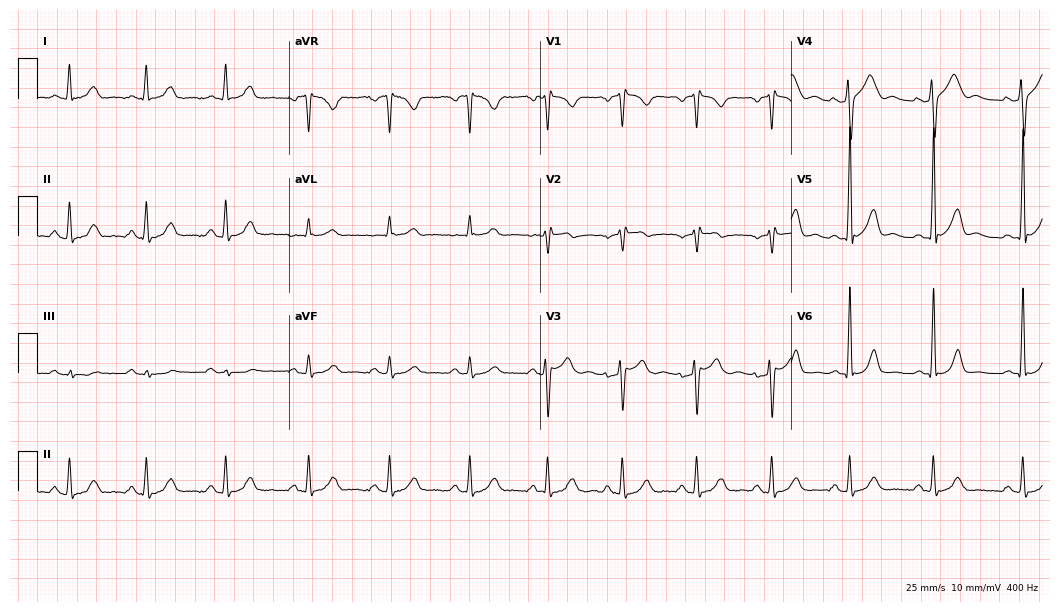
Standard 12-lead ECG recorded from a 44-year-old male (10.2-second recording at 400 Hz). None of these six findings is recorded: first-degree AV block, right bundle branch block (RBBB), left bundle branch block (LBBB), sinus bradycardia, atrial fibrillation (AF), sinus tachycardia.